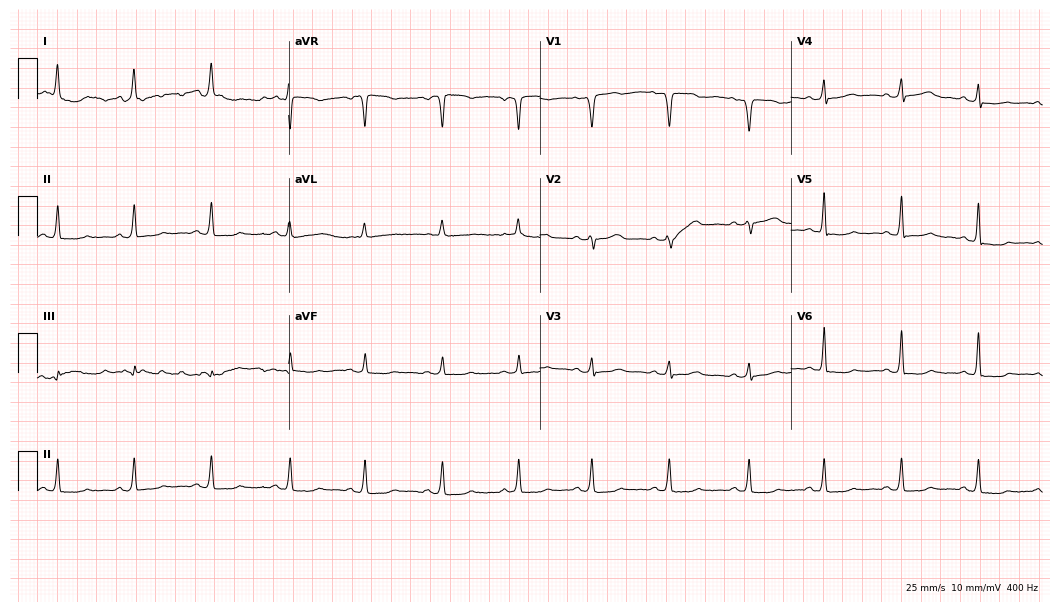
12-lead ECG from a 66-year-old female patient. No first-degree AV block, right bundle branch block, left bundle branch block, sinus bradycardia, atrial fibrillation or sinus tachycardia recorded for this tracing.